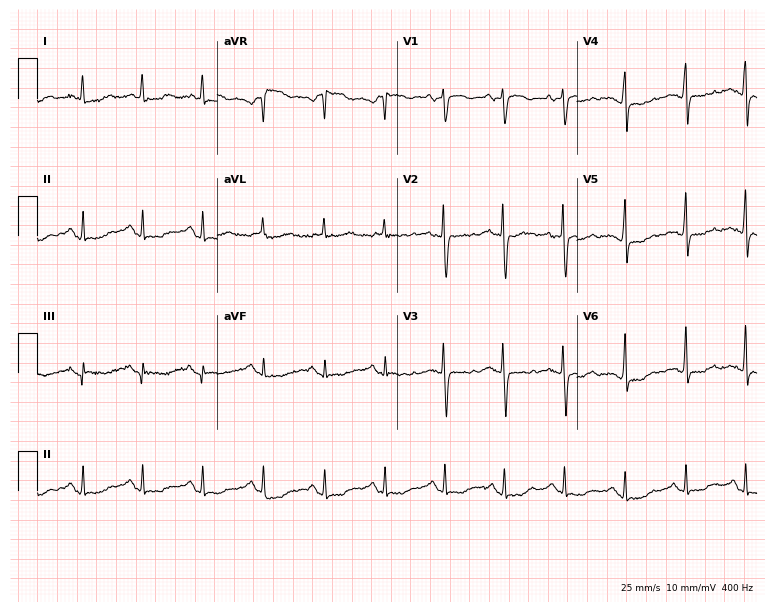
12-lead ECG from a female patient, 52 years old. No first-degree AV block, right bundle branch block (RBBB), left bundle branch block (LBBB), sinus bradycardia, atrial fibrillation (AF) or sinus tachycardia recorded for this tracing.